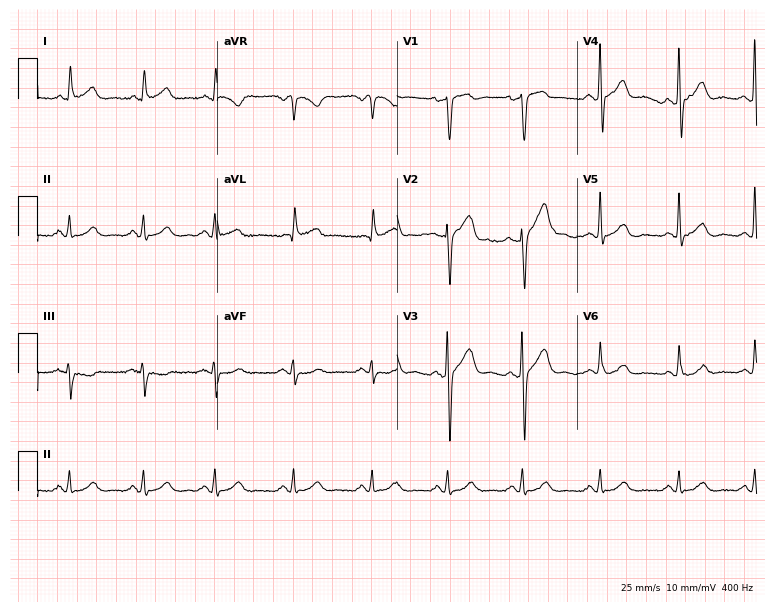
Electrocardiogram, a 48-year-old male. Of the six screened findings (first-degree AV block, right bundle branch block (RBBB), left bundle branch block (LBBB), sinus bradycardia, atrial fibrillation (AF), sinus tachycardia), none is recorded.